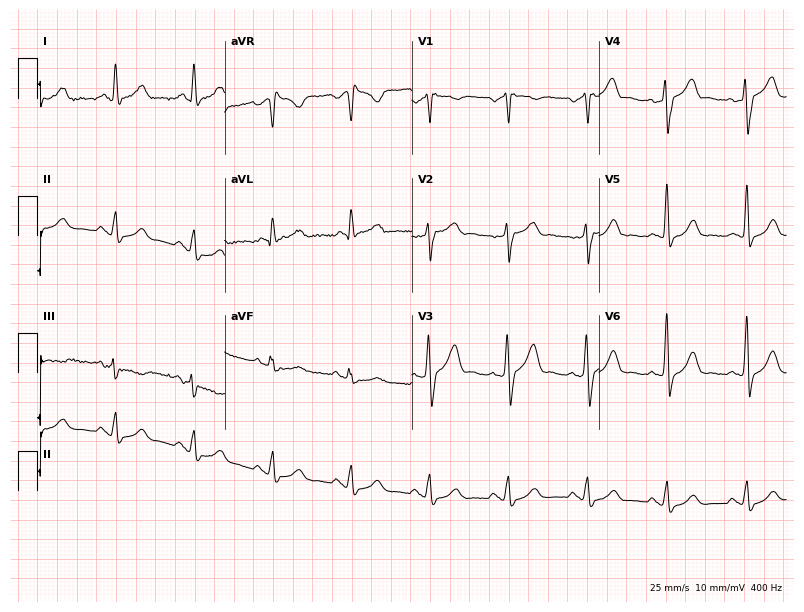
ECG (7.6-second recording at 400 Hz) — a 61-year-old male patient. Screened for six findings — first-degree AV block, right bundle branch block, left bundle branch block, sinus bradycardia, atrial fibrillation, sinus tachycardia — none is recorded.